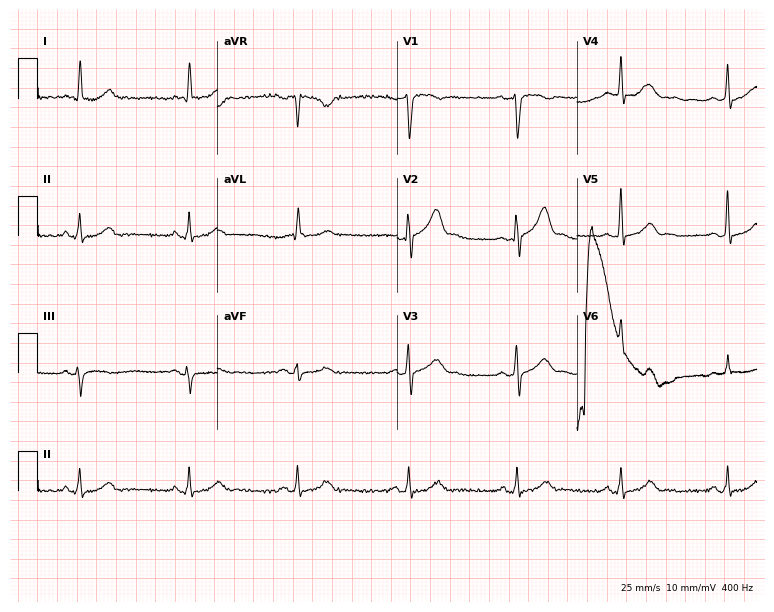
Resting 12-lead electrocardiogram (7.3-second recording at 400 Hz). Patient: a 68-year-old male. Read as a normal ECG.